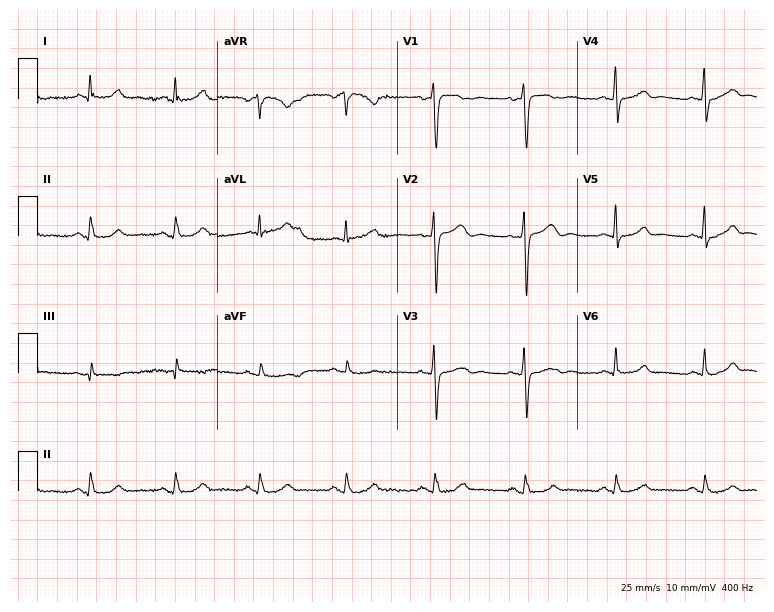
12-lead ECG from a female, 54 years old. Labelled as a normal ECG.